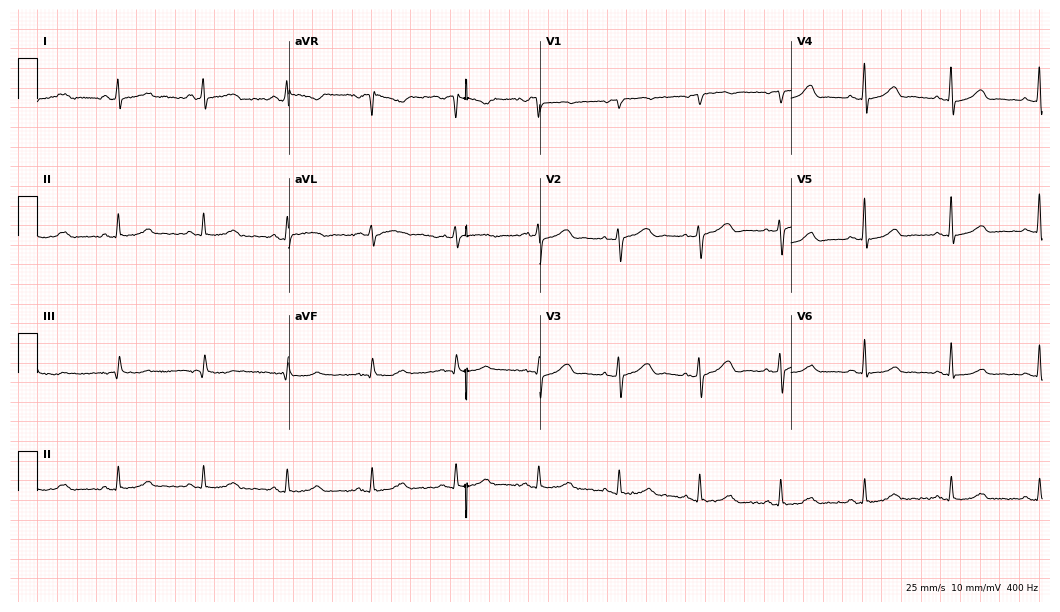
12-lead ECG from a woman, 62 years old. No first-degree AV block, right bundle branch block, left bundle branch block, sinus bradycardia, atrial fibrillation or sinus tachycardia recorded for this tracing.